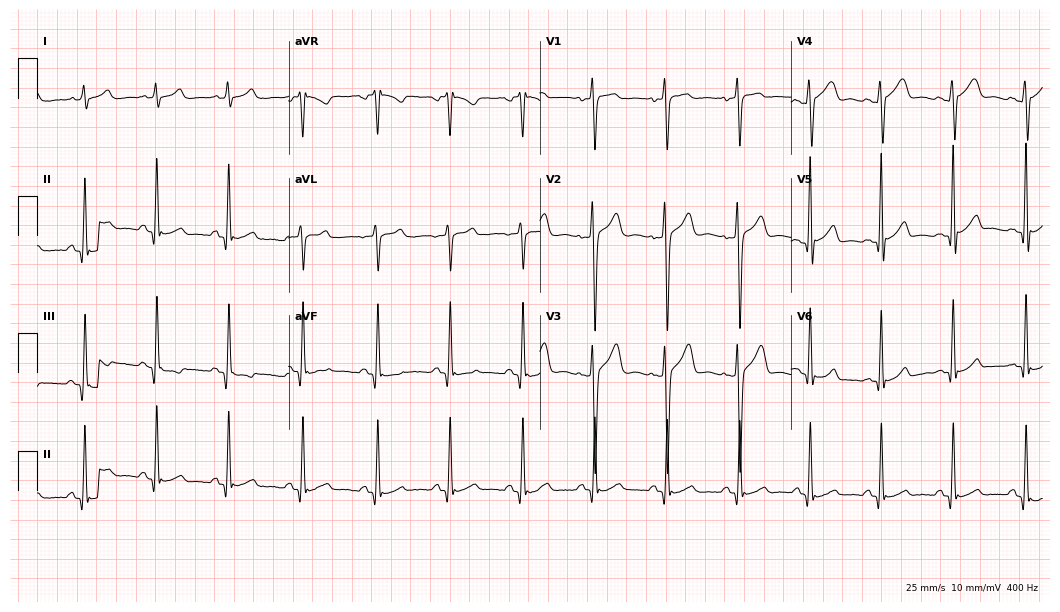
Standard 12-lead ECG recorded from a 23-year-old male (10.2-second recording at 400 Hz). Read as a normal ECG.